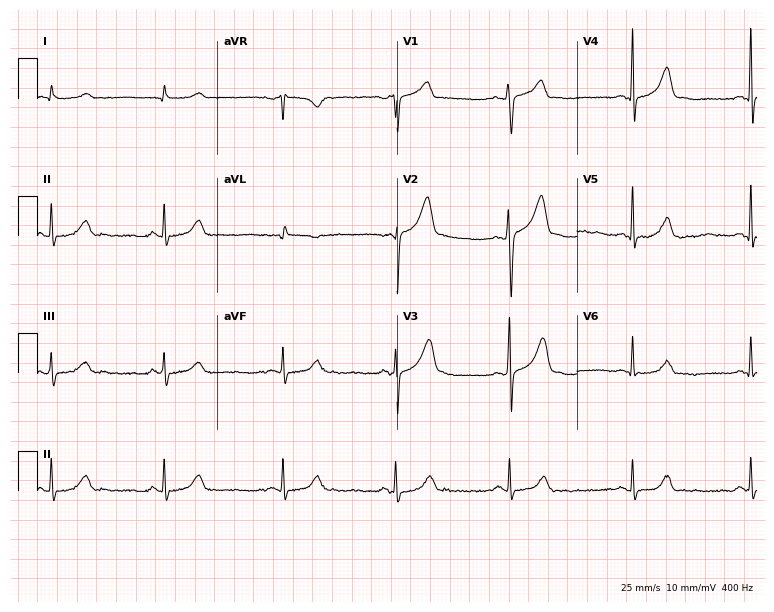
ECG (7.3-second recording at 400 Hz) — a 53-year-old man. Findings include sinus bradycardia (a sinus rate of 50 beats per minute or less).